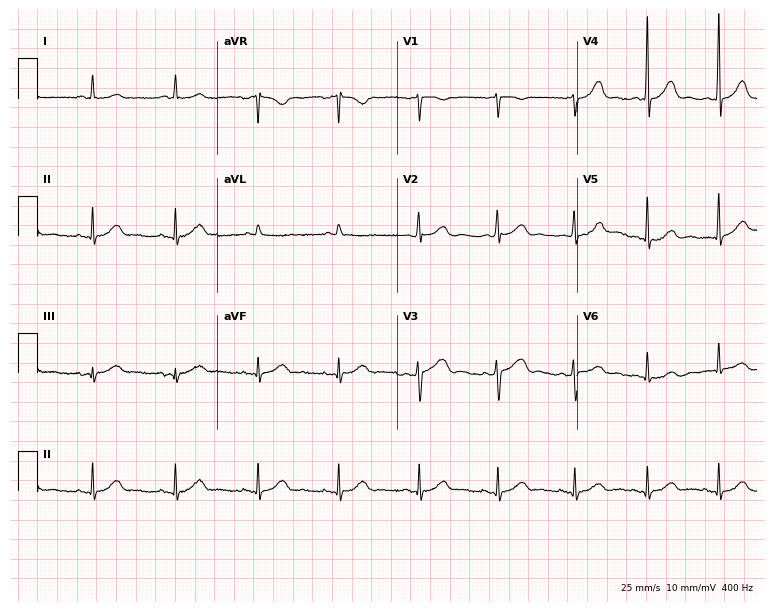
Resting 12-lead electrocardiogram. Patient: a 42-year-old female. Read as a normal ECG.